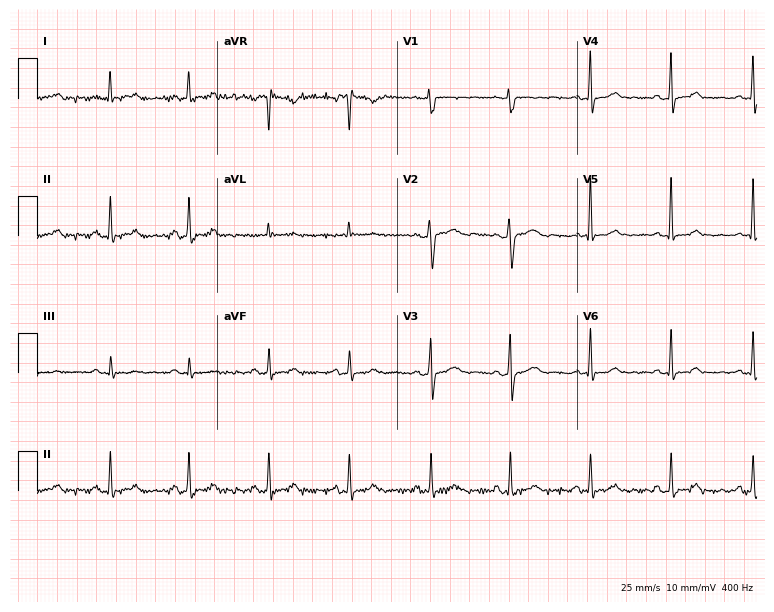
Standard 12-lead ECG recorded from a 55-year-old woman (7.3-second recording at 400 Hz). Read as a normal ECG.